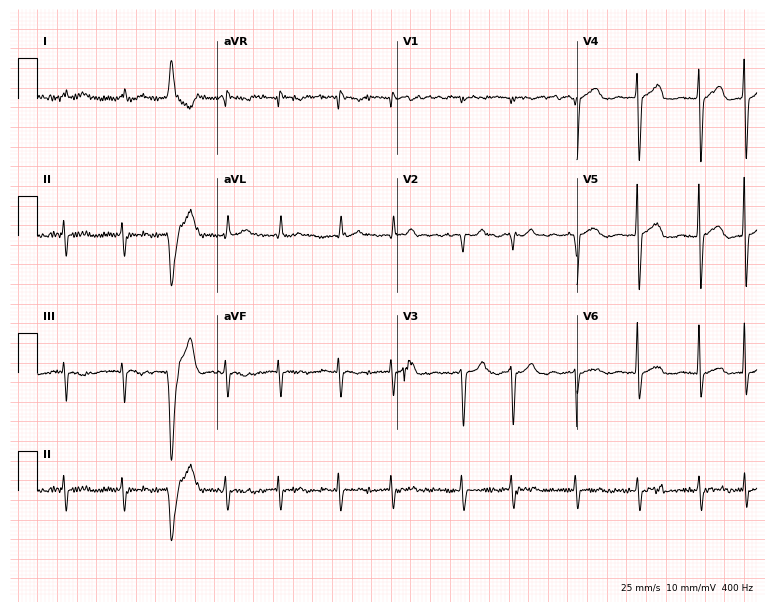
Resting 12-lead electrocardiogram. Patient: a man, 81 years old. The tracing shows atrial fibrillation (AF).